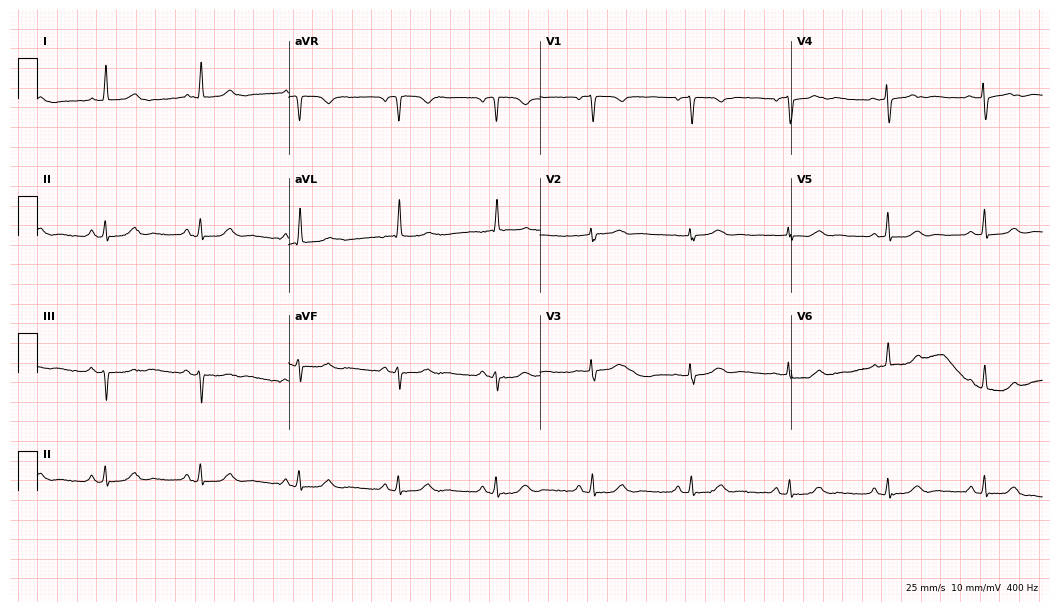
Electrocardiogram, a female patient, 79 years old. Of the six screened findings (first-degree AV block, right bundle branch block, left bundle branch block, sinus bradycardia, atrial fibrillation, sinus tachycardia), none is recorded.